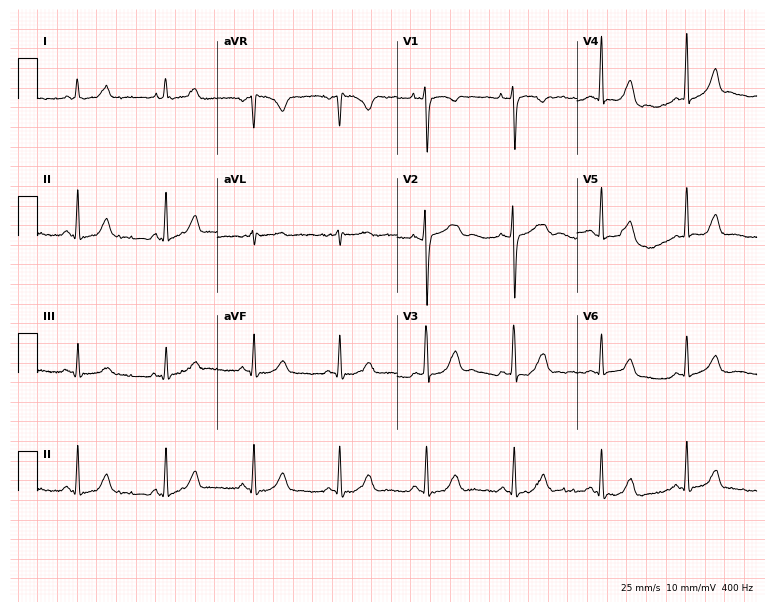
12-lead ECG from a woman, 44 years old. Labelled as a normal ECG.